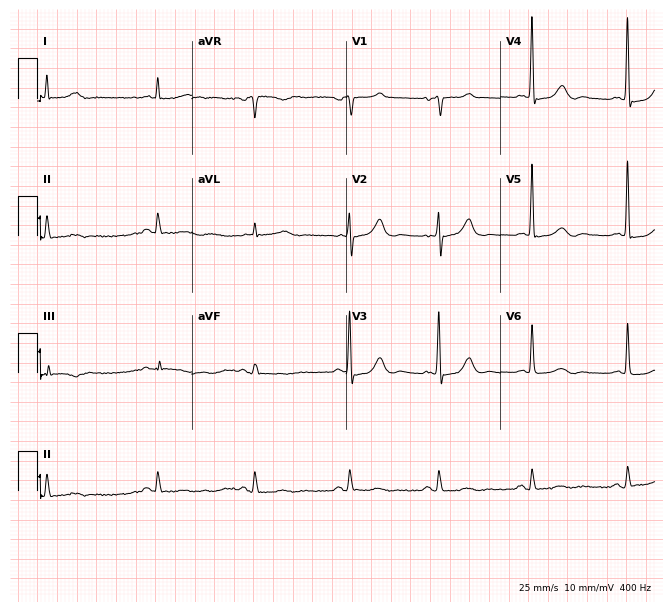
ECG — a woman, 79 years old. Screened for six findings — first-degree AV block, right bundle branch block (RBBB), left bundle branch block (LBBB), sinus bradycardia, atrial fibrillation (AF), sinus tachycardia — none is recorded.